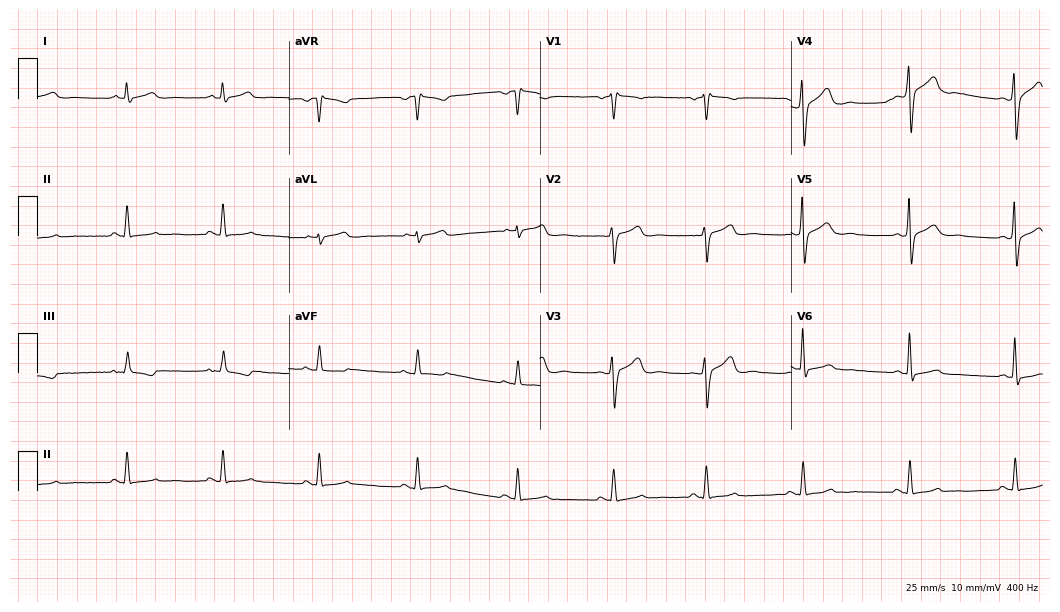
Electrocardiogram, a 49-year-old man. Of the six screened findings (first-degree AV block, right bundle branch block, left bundle branch block, sinus bradycardia, atrial fibrillation, sinus tachycardia), none is recorded. Only these six findings were labelled.